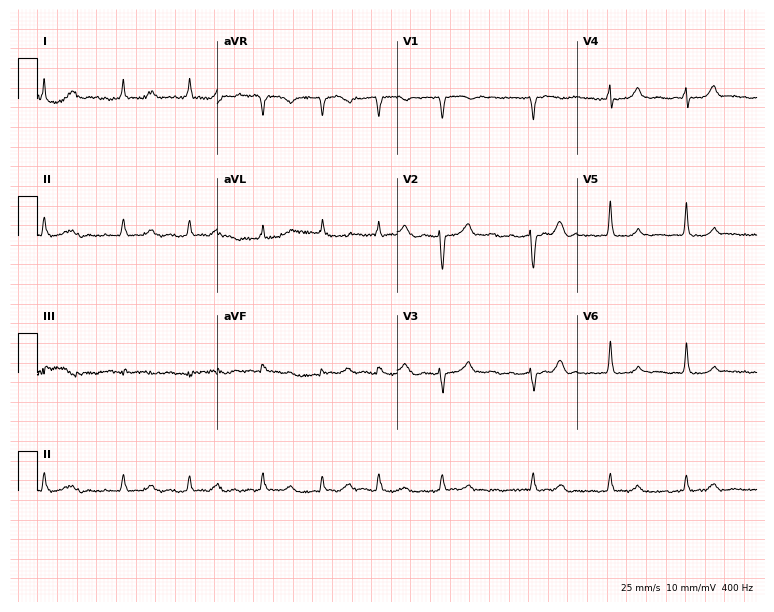
ECG — a 77-year-old woman. Findings include atrial fibrillation (AF).